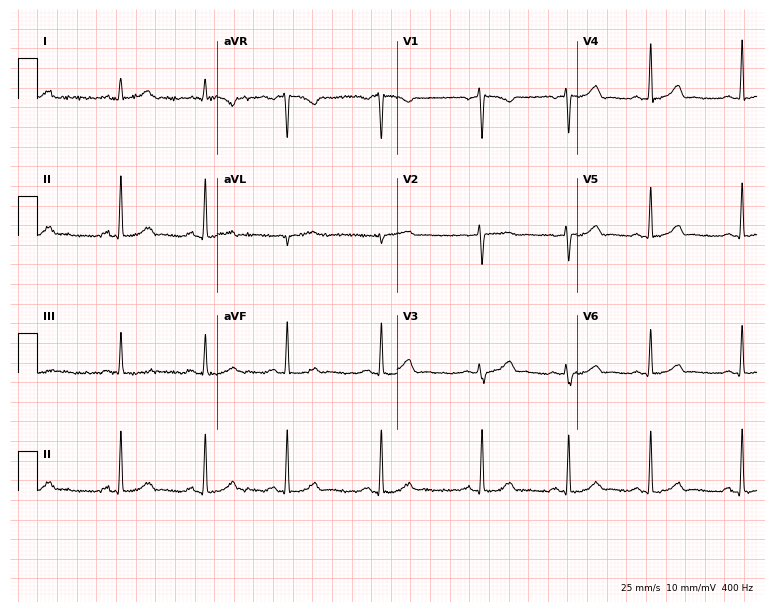
Standard 12-lead ECG recorded from a 21-year-old female (7.3-second recording at 400 Hz). Read as a normal ECG.